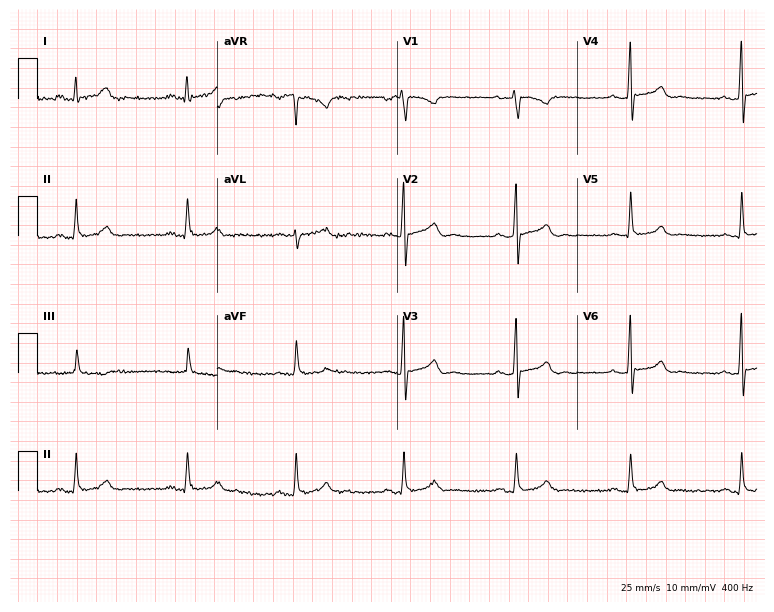
12-lead ECG from a 36-year-old male (7.3-second recording at 400 Hz). No first-degree AV block, right bundle branch block, left bundle branch block, sinus bradycardia, atrial fibrillation or sinus tachycardia recorded for this tracing. Findings outside these six are not listed.